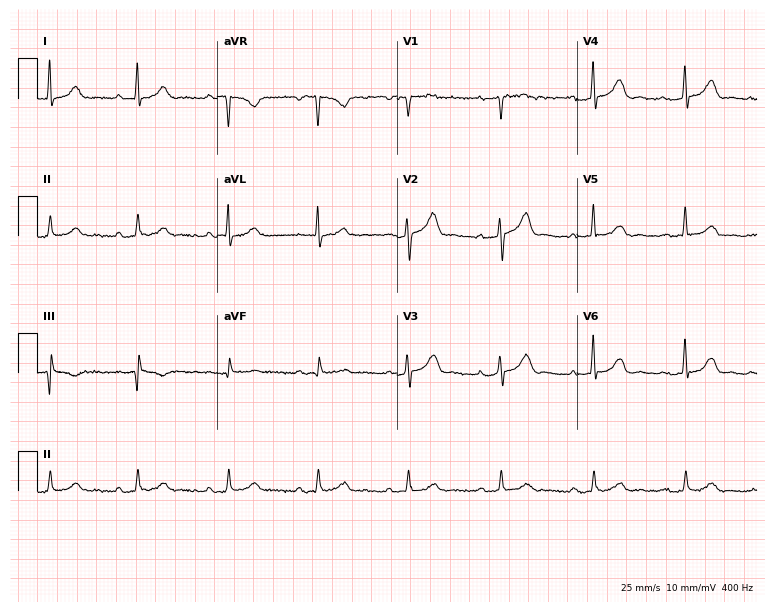
12-lead ECG from a woman, 53 years old (7.3-second recording at 400 Hz). Recorded interpretation: within normal limits.